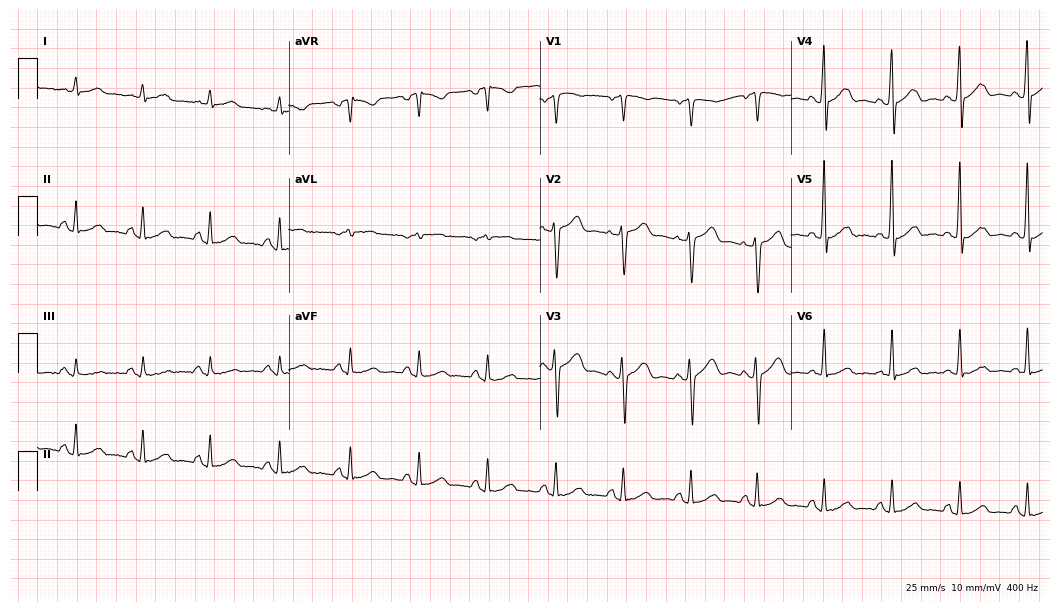
Resting 12-lead electrocardiogram (10.2-second recording at 400 Hz). Patient: a male, 22 years old. Read as a normal ECG.